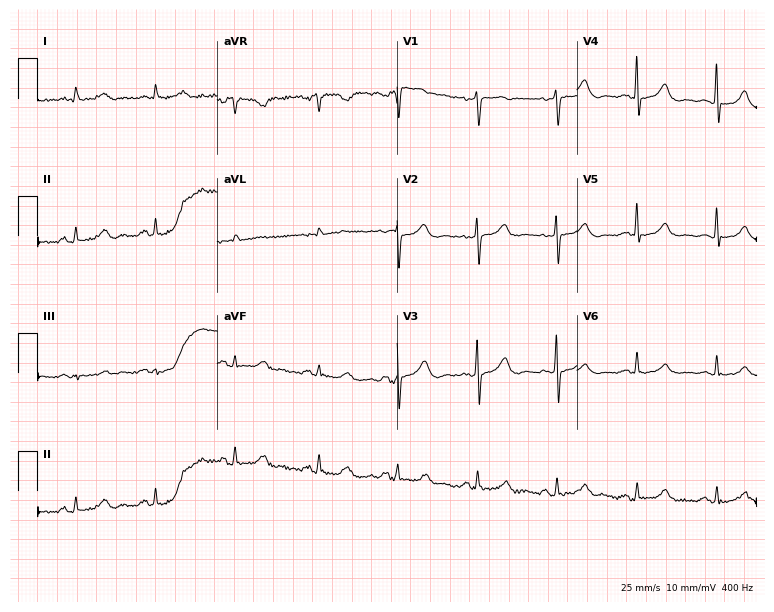
ECG (7.3-second recording at 400 Hz) — a 79-year-old female patient. Screened for six findings — first-degree AV block, right bundle branch block, left bundle branch block, sinus bradycardia, atrial fibrillation, sinus tachycardia — none is recorded. Other findings, if any, are not listed.